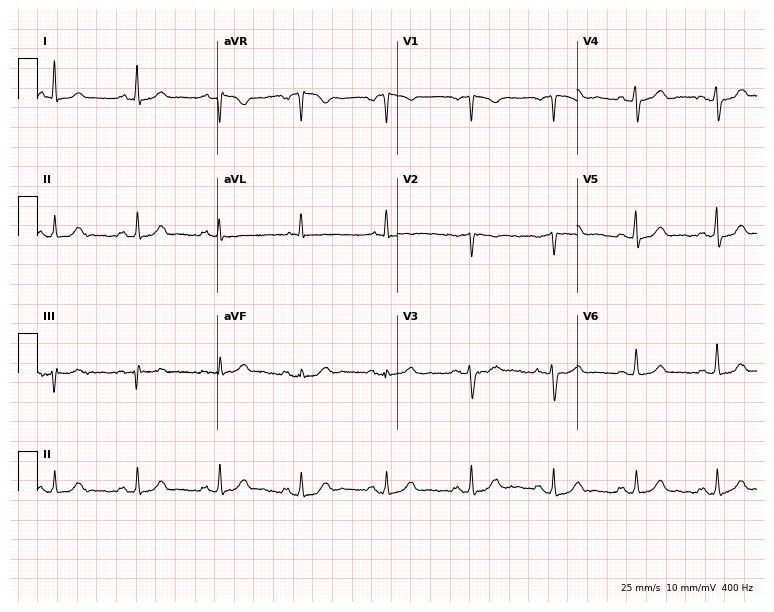
Resting 12-lead electrocardiogram (7.3-second recording at 400 Hz). Patient: a 48-year-old male. Read as a normal ECG.